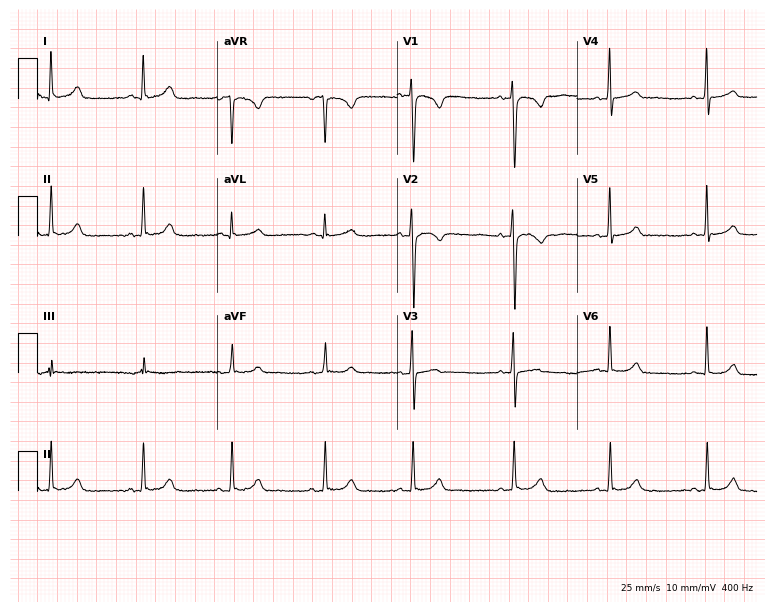
Standard 12-lead ECG recorded from a female, 24 years old (7.3-second recording at 400 Hz). None of these six findings is recorded: first-degree AV block, right bundle branch block, left bundle branch block, sinus bradycardia, atrial fibrillation, sinus tachycardia.